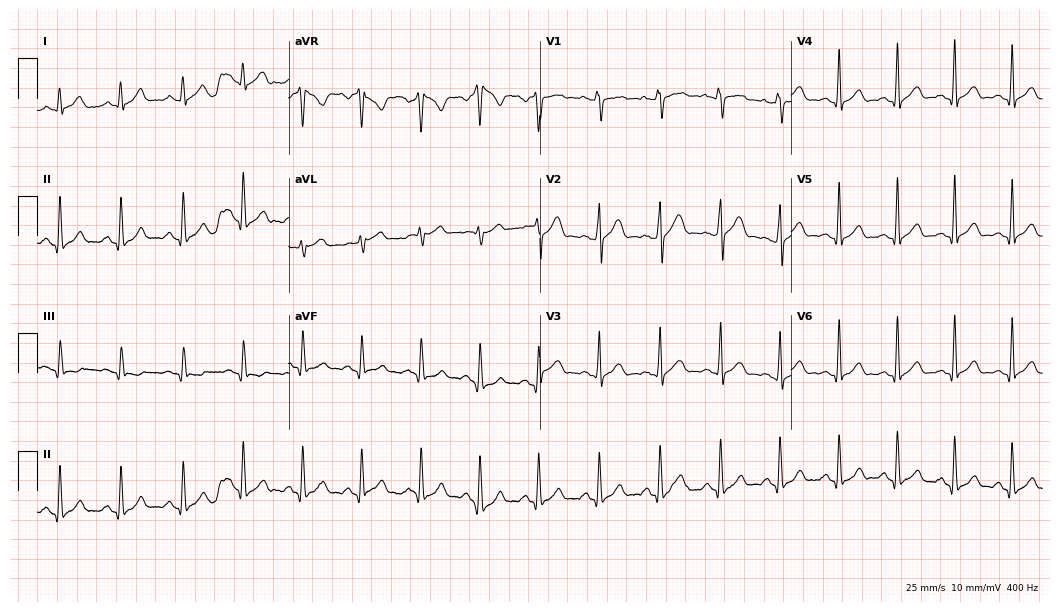
Resting 12-lead electrocardiogram. Patient: a male, 25 years old. Read as a normal ECG.